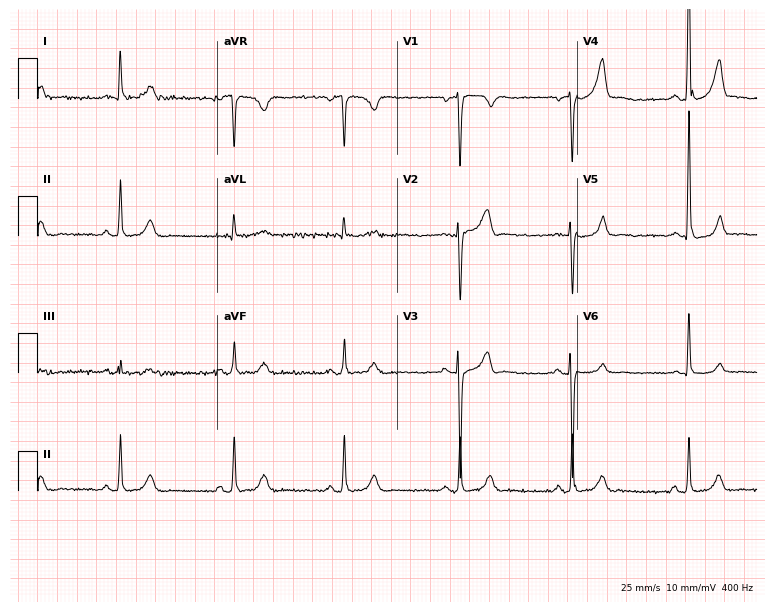
12-lead ECG from a 48-year-old man (7.3-second recording at 400 Hz). No first-degree AV block, right bundle branch block, left bundle branch block, sinus bradycardia, atrial fibrillation or sinus tachycardia recorded for this tracing. Other findings, if any, are not listed.